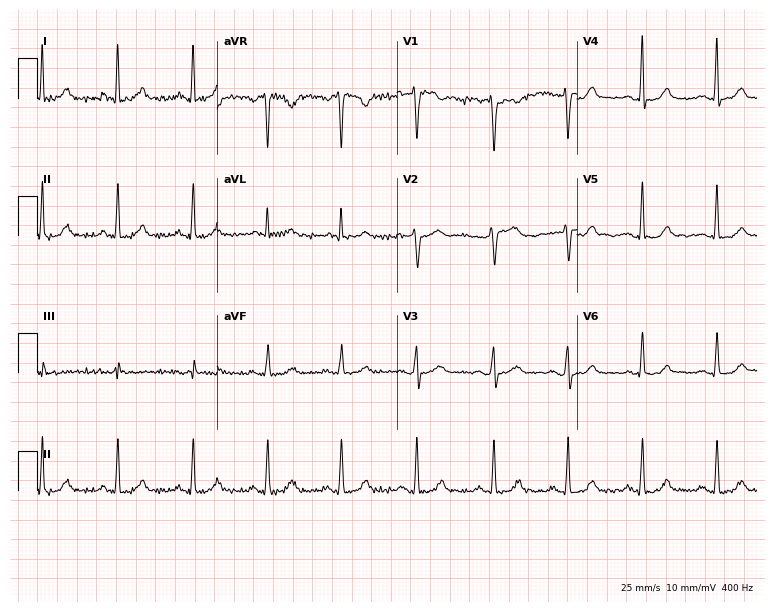
12-lead ECG from a 48-year-old female. Recorded interpretation: within normal limits.